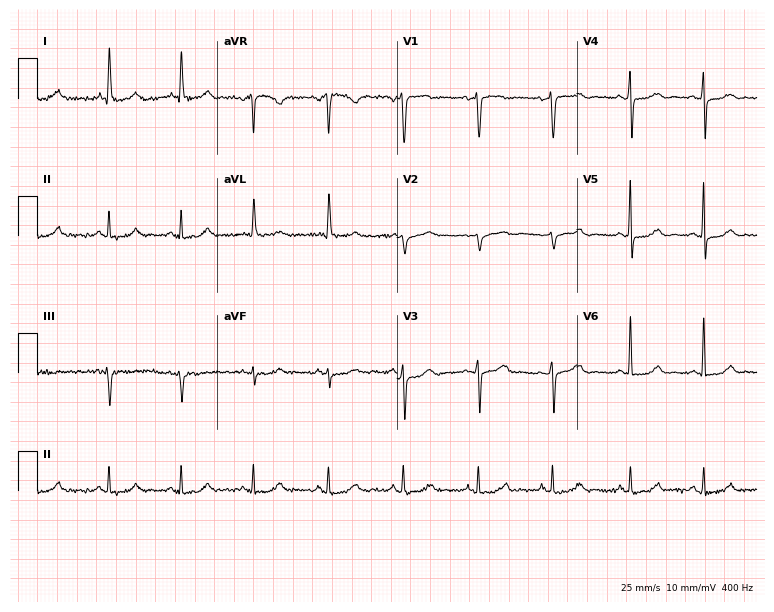
Electrocardiogram, a woman, 67 years old. Of the six screened findings (first-degree AV block, right bundle branch block, left bundle branch block, sinus bradycardia, atrial fibrillation, sinus tachycardia), none is recorded. Findings outside these six are not listed.